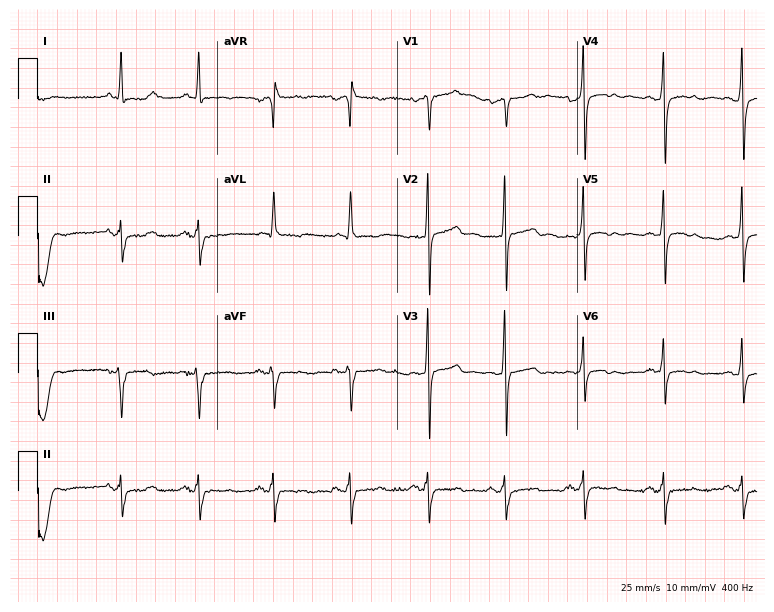
Electrocardiogram (7.3-second recording at 400 Hz), a 65-year-old male. Of the six screened findings (first-degree AV block, right bundle branch block (RBBB), left bundle branch block (LBBB), sinus bradycardia, atrial fibrillation (AF), sinus tachycardia), none is recorded.